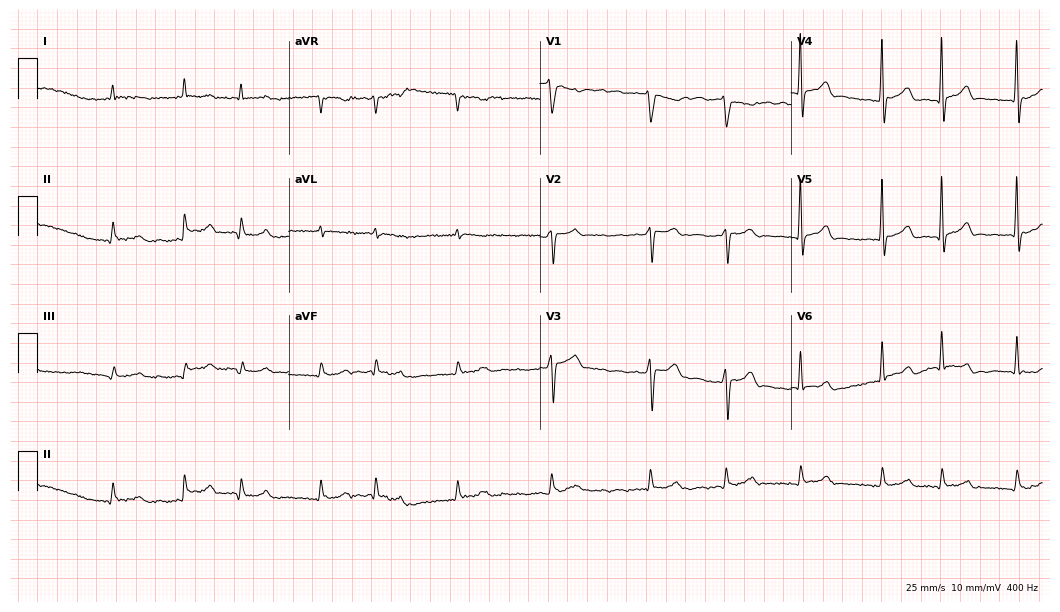
Resting 12-lead electrocardiogram (10.2-second recording at 400 Hz). Patient: a man, 79 years old. None of these six findings is recorded: first-degree AV block, right bundle branch block (RBBB), left bundle branch block (LBBB), sinus bradycardia, atrial fibrillation (AF), sinus tachycardia.